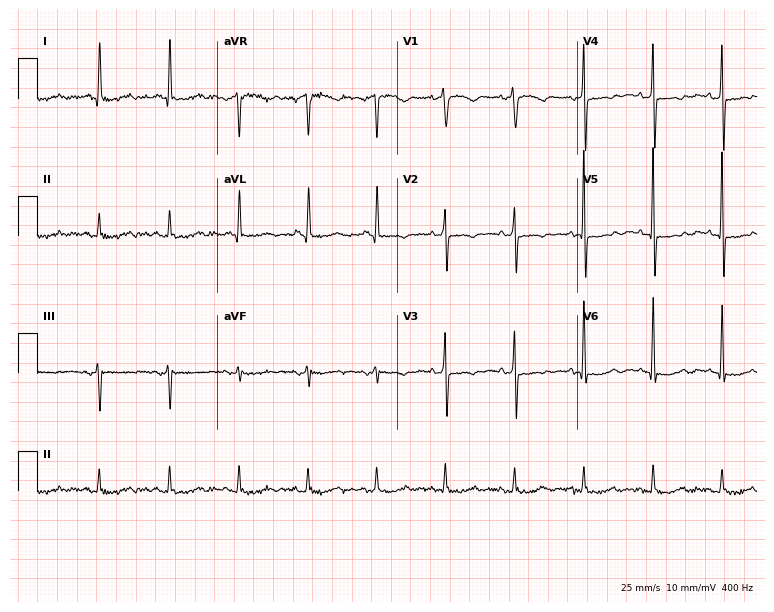
ECG (7.3-second recording at 400 Hz) — a 76-year-old female. Screened for six findings — first-degree AV block, right bundle branch block (RBBB), left bundle branch block (LBBB), sinus bradycardia, atrial fibrillation (AF), sinus tachycardia — none is recorded. Only these six findings were labelled.